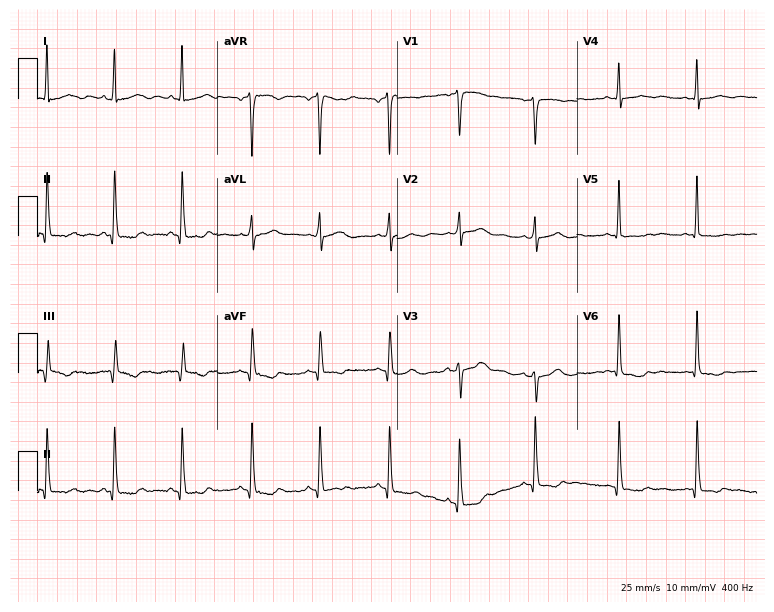
12-lead ECG (7.3-second recording at 400 Hz) from a 36-year-old female patient. Screened for six findings — first-degree AV block, right bundle branch block, left bundle branch block, sinus bradycardia, atrial fibrillation, sinus tachycardia — none is recorded. Only these six findings were labelled.